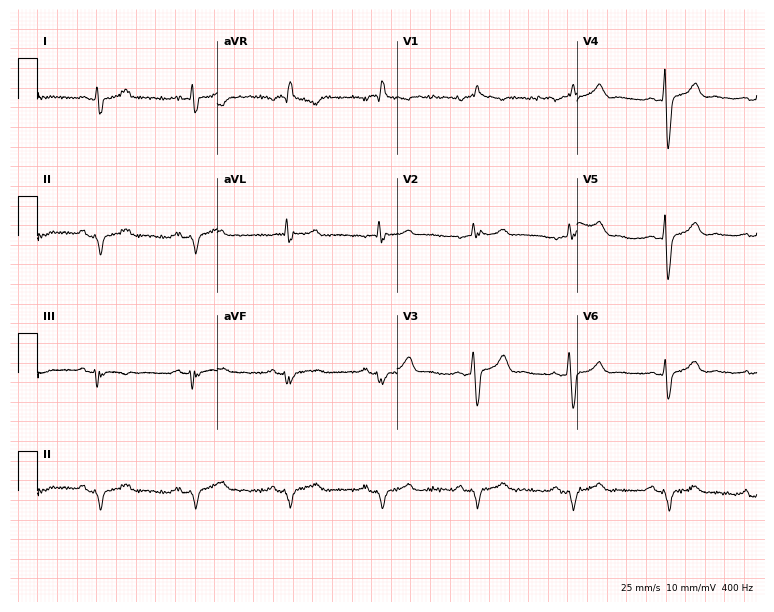
12-lead ECG from a 71-year-old male. No first-degree AV block, right bundle branch block, left bundle branch block, sinus bradycardia, atrial fibrillation or sinus tachycardia recorded for this tracing. Other findings, if any, are not listed.